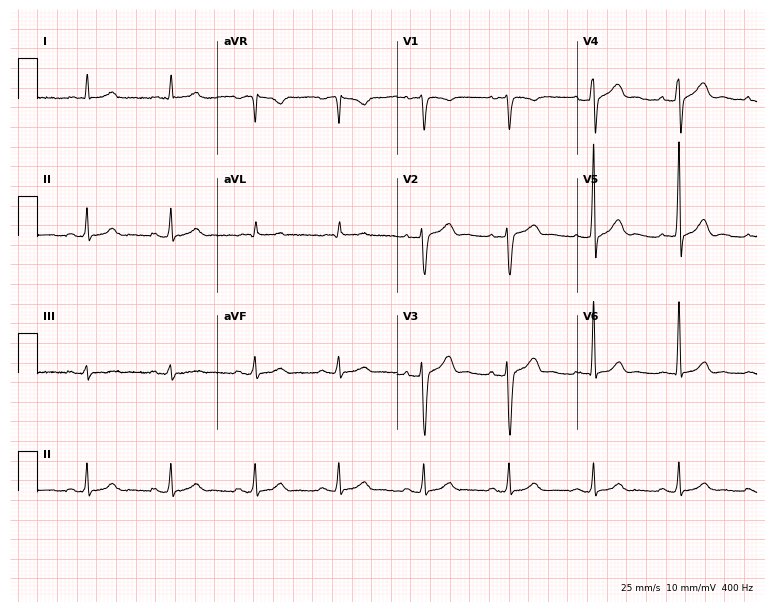
Electrocardiogram, a man, 73 years old. Overall reading on record: normal ECG.